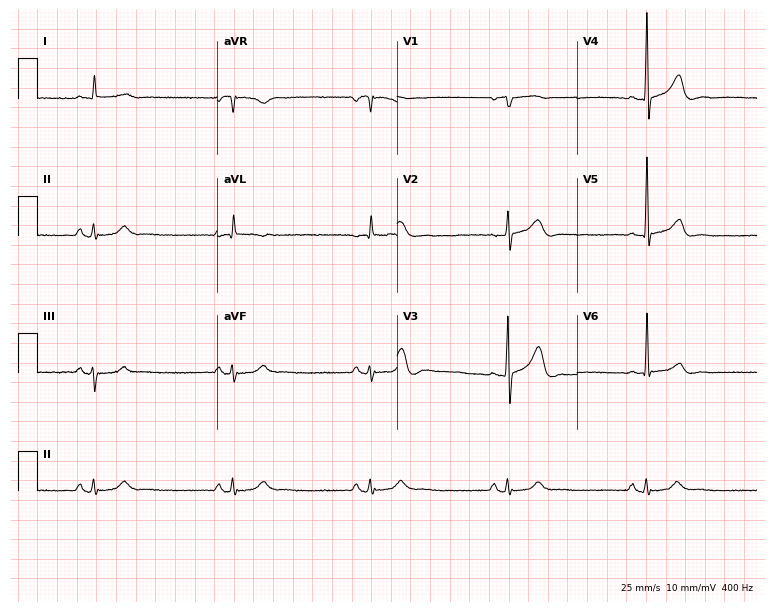
Resting 12-lead electrocardiogram. Patient: a 79-year-old man. The tracing shows sinus bradycardia (a sinus rate of 50 beats per minute or less).